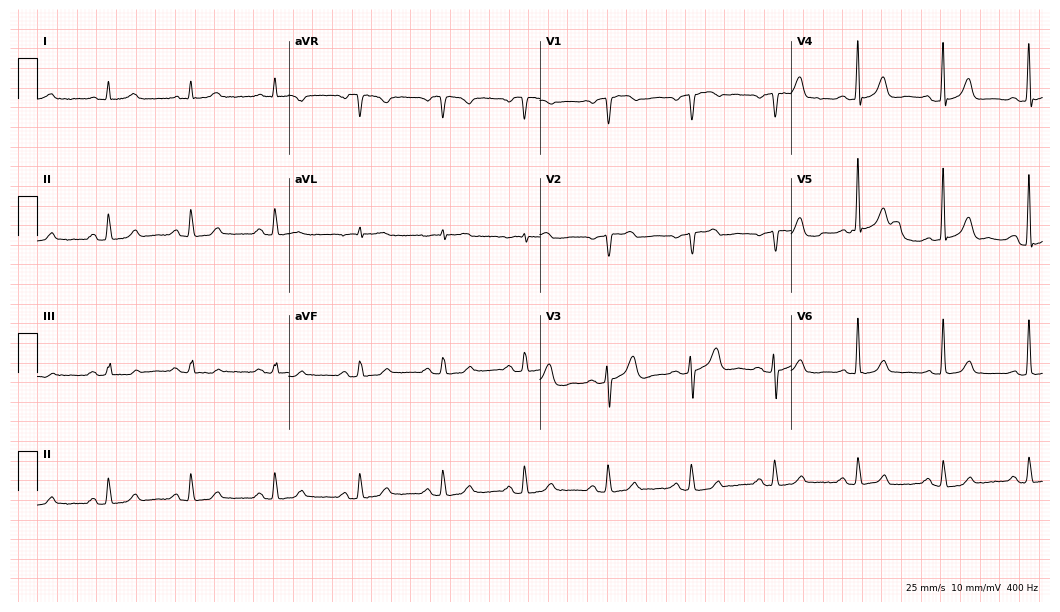
Standard 12-lead ECG recorded from a man, 79 years old. Read as a normal ECG.